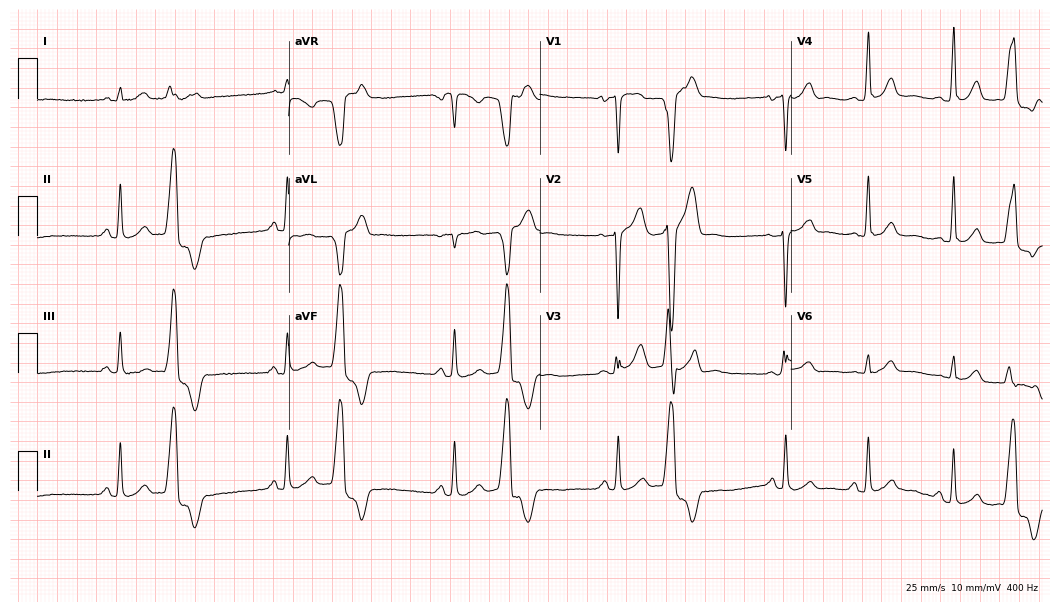
Resting 12-lead electrocardiogram. Patient: a male, 26 years old. None of these six findings is recorded: first-degree AV block, right bundle branch block, left bundle branch block, sinus bradycardia, atrial fibrillation, sinus tachycardia. Other findings, if any, are not listed.